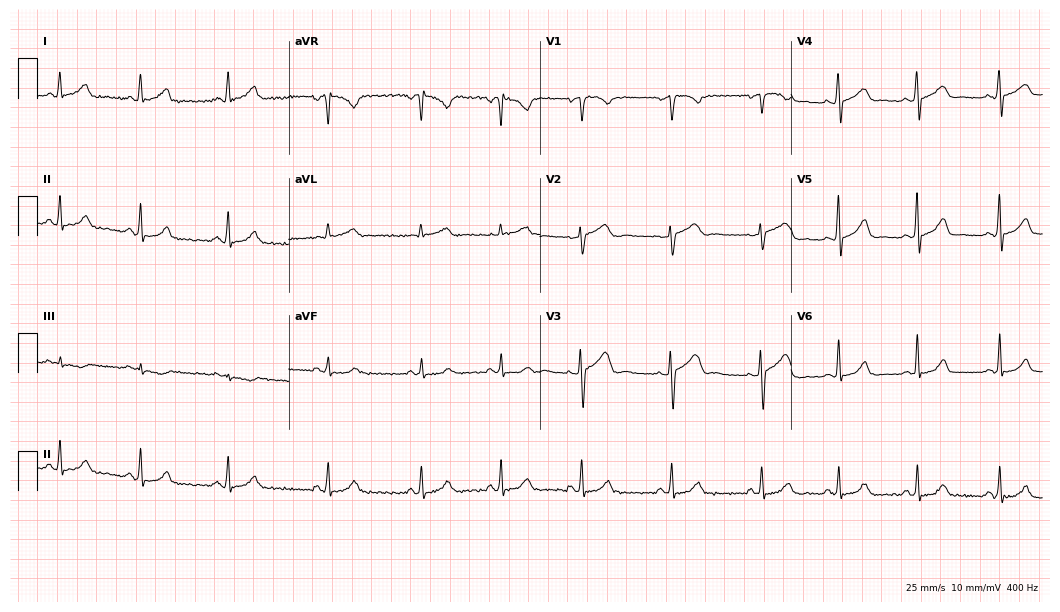
ECG — a female, 32 years old. Screened for six findings — first-degree AV block, right bundle branch block (RBBB), left bundle branch block (LBBB), sinus bradycardia, atrial fibrillation (AF), sinus tachycardia — none is recorded. Only these six findings were labelled.